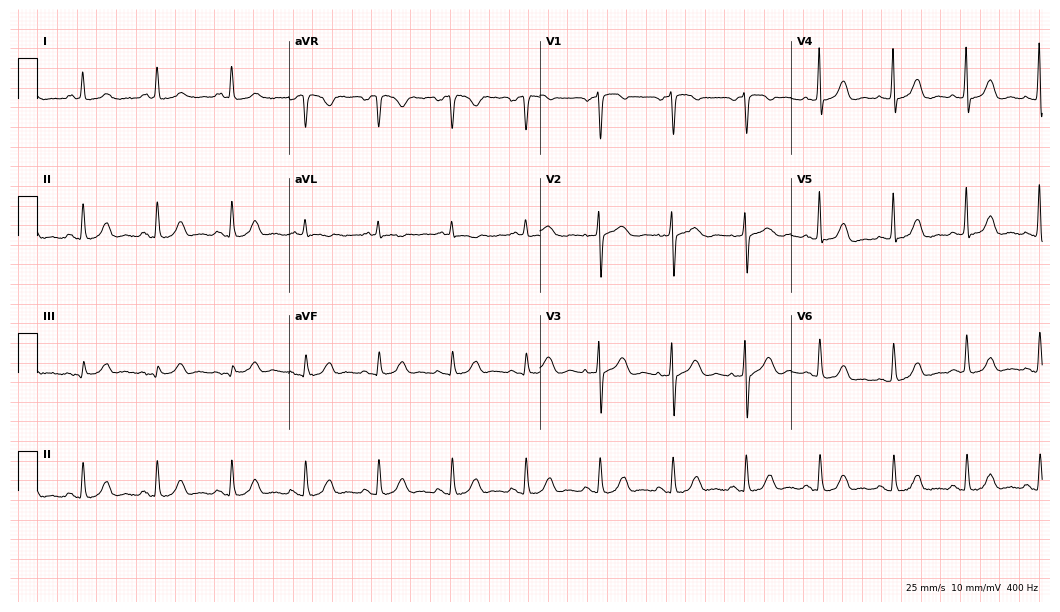
12-lead ECG from a 77-year-old female patient. Labelled as a normal ECG.